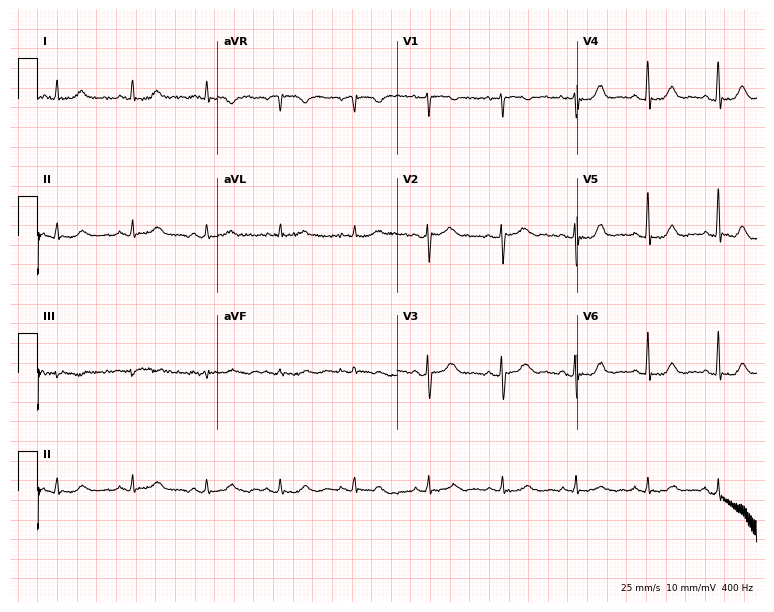
Electrocardiogram (7.3-second recording at 400 Hz), a 60-year-old female patient. Of the six screened findings (first-degree AV block, right bundle branch block, left bundle branch block, sinus bradycardia, atrial fibrillation, sinus tachycardia), none is recorded.